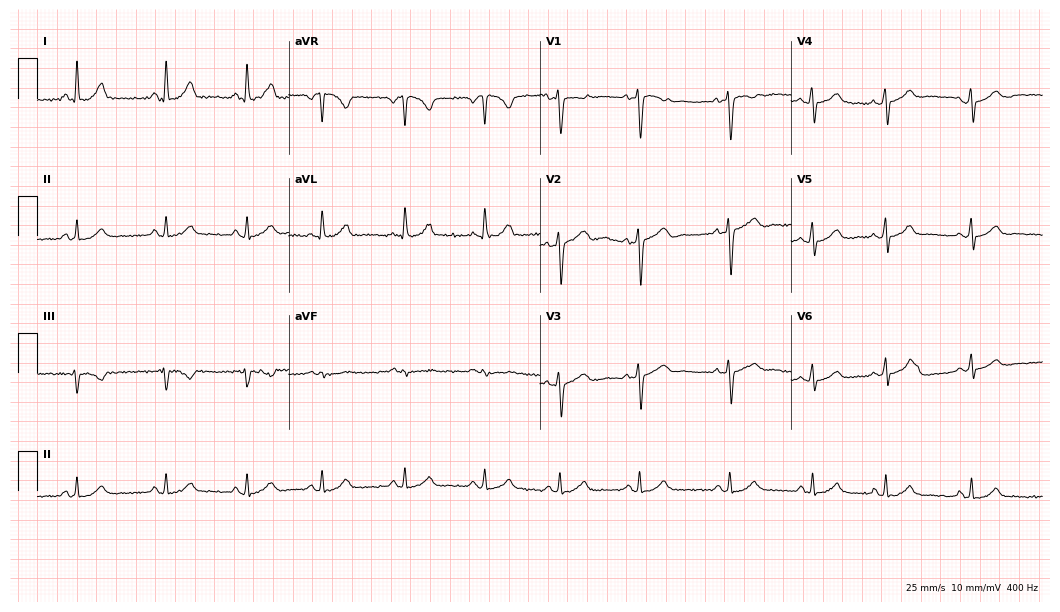
Electrocardiogram (10.2-second recording at 400 Hz), a 30-year-old female patient. Overall reading on record: normal ECG.